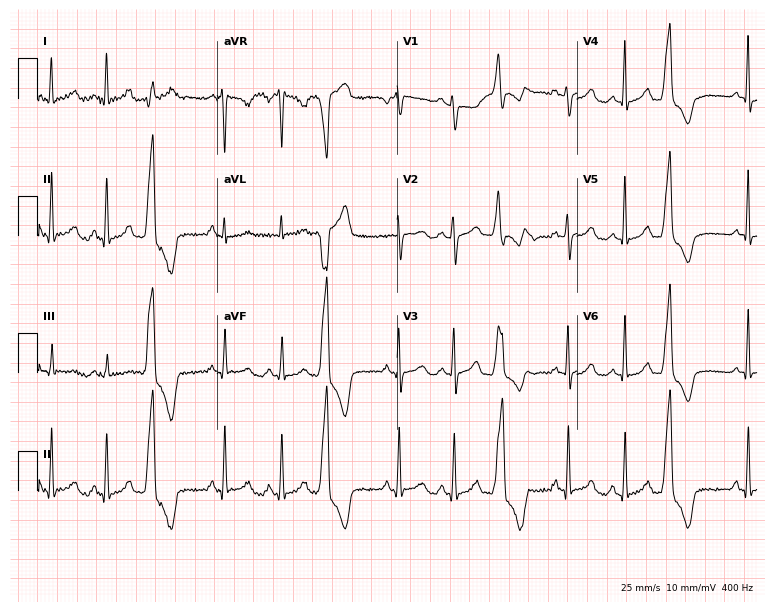
Resting 12-lead electrocardiogram. Patient: a 47-year-old female. None of these six findings is recorded: first-degree AV block, right bundle branch block, left bundle branch block, sinus bradycardia, atrial fibrillation, sinus tachycardia. Findings outside these six are not listed.